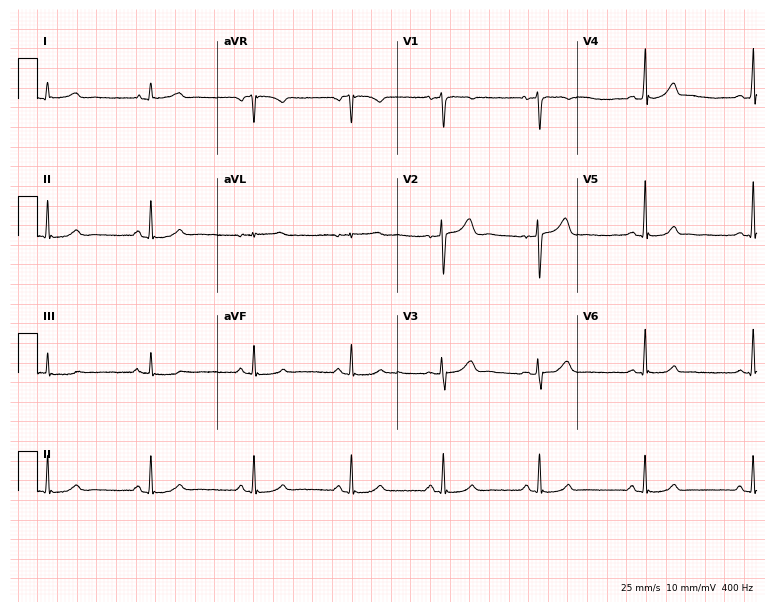
12-lead ECG (7.3-second recording at 400 Hz) from a female patient, 47 years old. Labelled as a normal ECG.